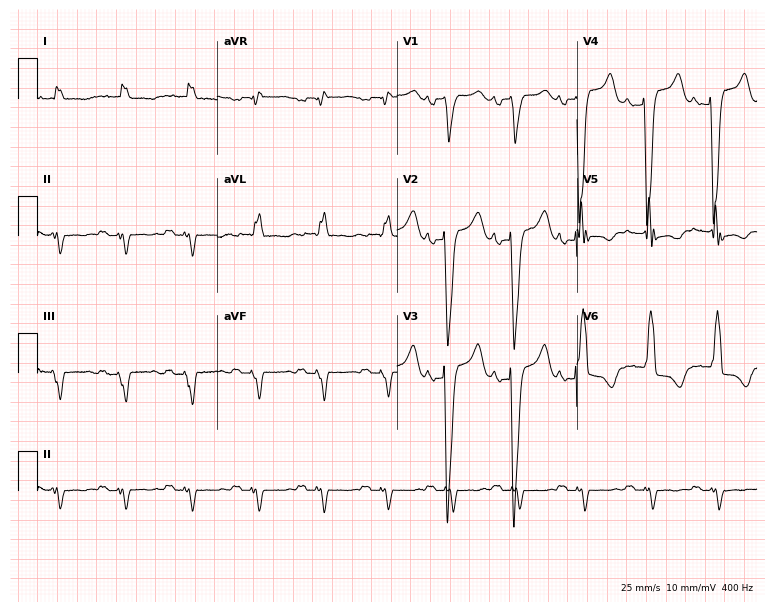
Resting 12-lead electrocardiogram. Patient: a 50-year-old female. The tracing shows left bundle branch block.